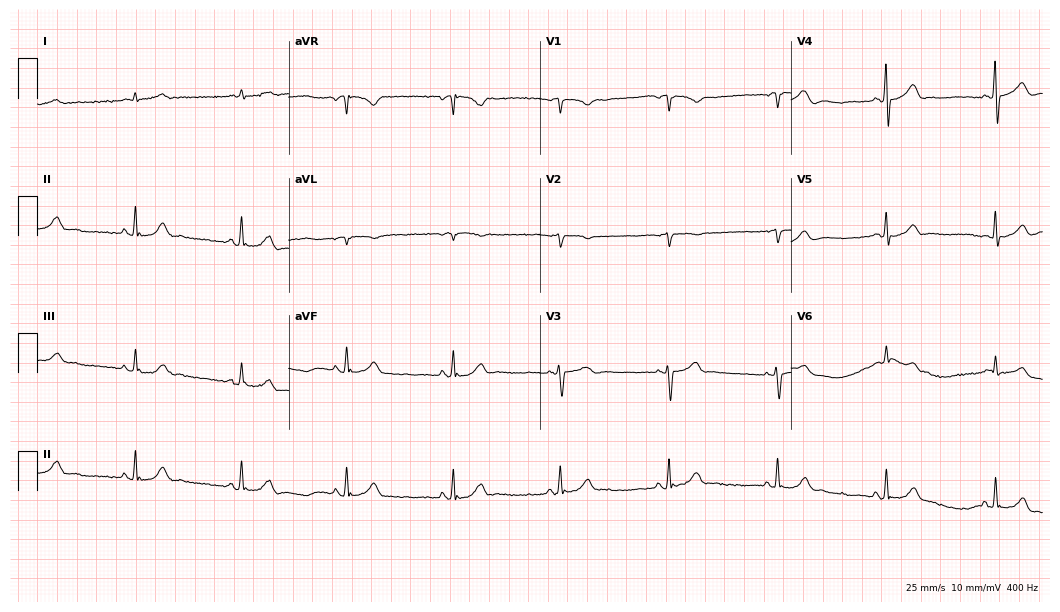
Resting 12-lead electrocardiogram. Patient: a 70-year-old male. Read as a normal ECG.